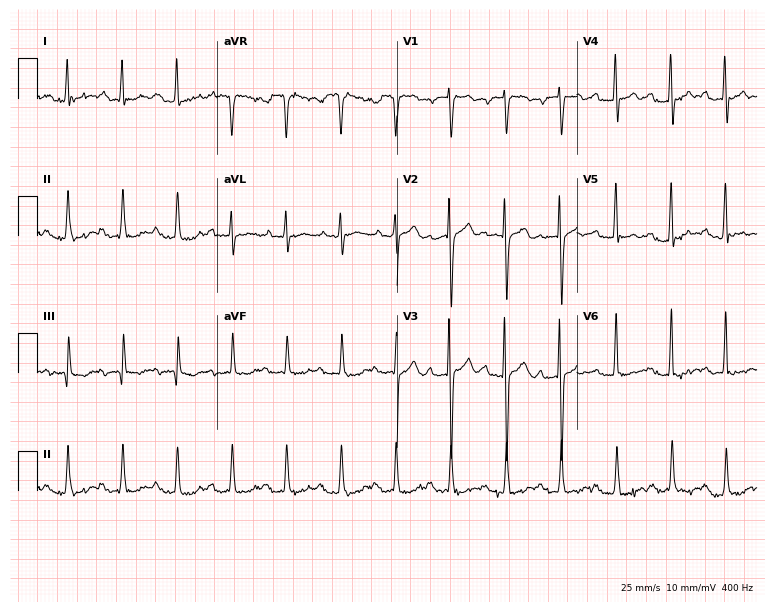
Electrocardiogram (7.3-second recording at 400 Hz), a 78-year-old man. Of the six screened findings (first-degree AV block, right bundle branch block (RBBB), left bundle branch block (LBBB), sinus bradycardia, atrial fibrillation (AF), sinus tachycardia), none is recorded.